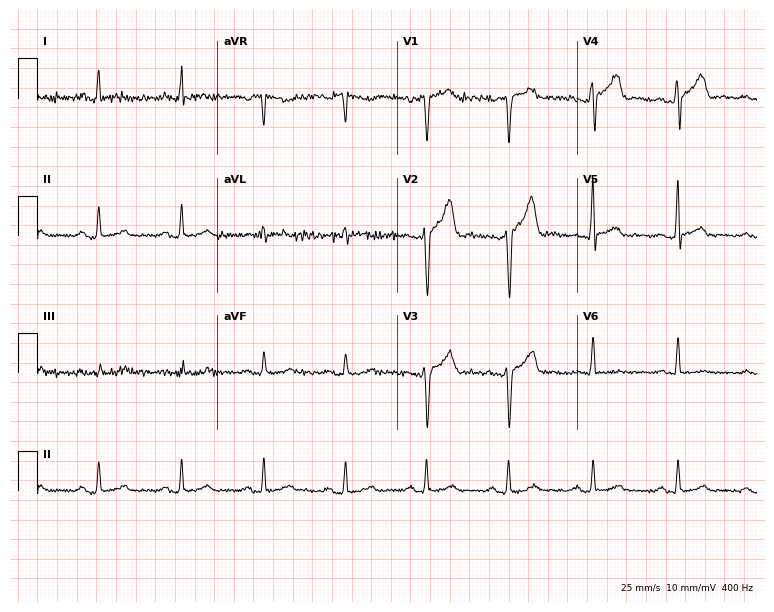
12-lead ECG from a 52-year-old man. No first-degree AV block, right bundle branch block (RBBB), left bundle branch block (LBBB), sinus bradycardia, atrial fibrillation (AF) or sinus tachycardia recorded for this tracing.